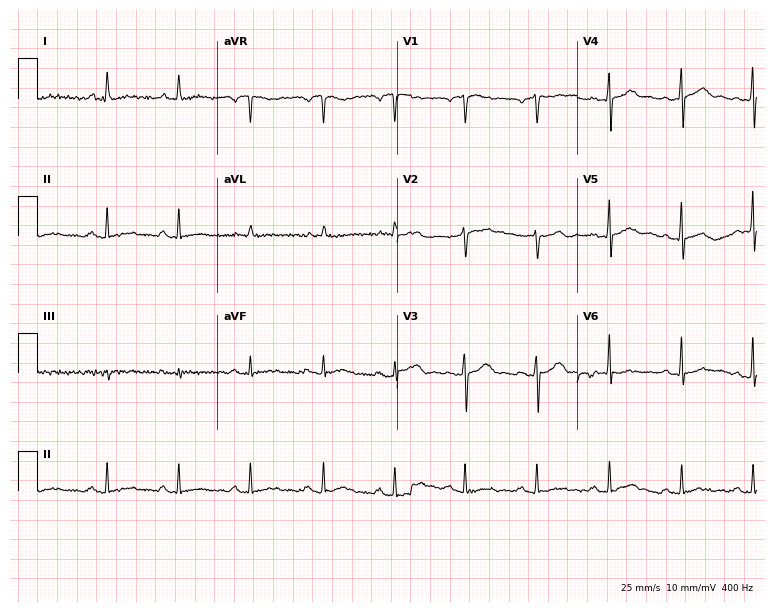
12-lead ECG from a male patient, 38 years old (7.3-second recording at 400 Hz). Recorded interpretation: within normal limits.